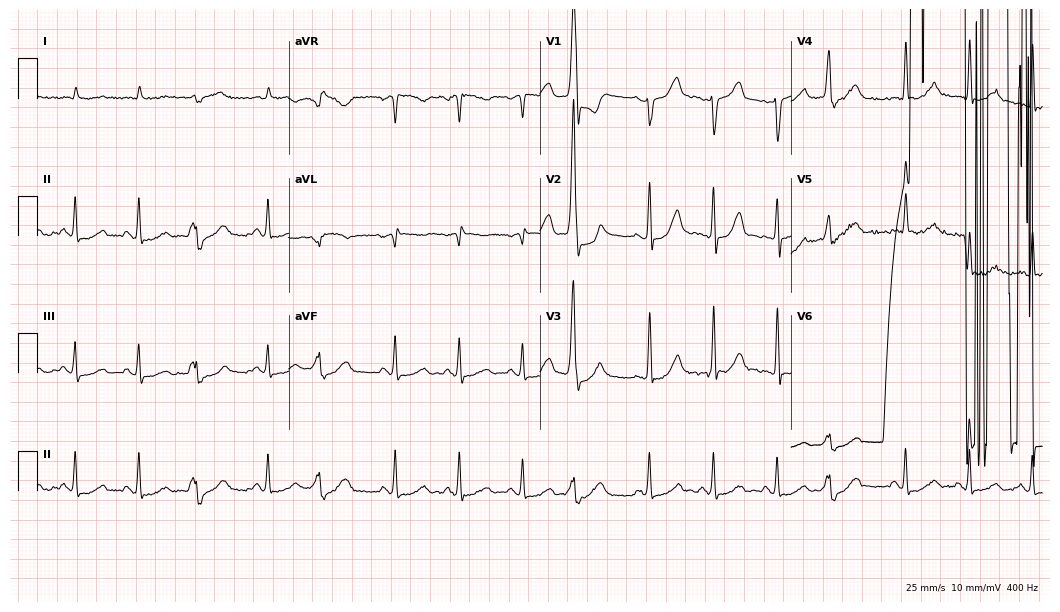
Resting 12-lead electrocardiogram. Patient: an 80-year-old woman. None of these six findings is recorded: first-degree AV block, right bundle branch block, left bundle branch block, sinus bradycardia, atrial fibrillation, sinus tachycardia. Findings outside these six are not listed.